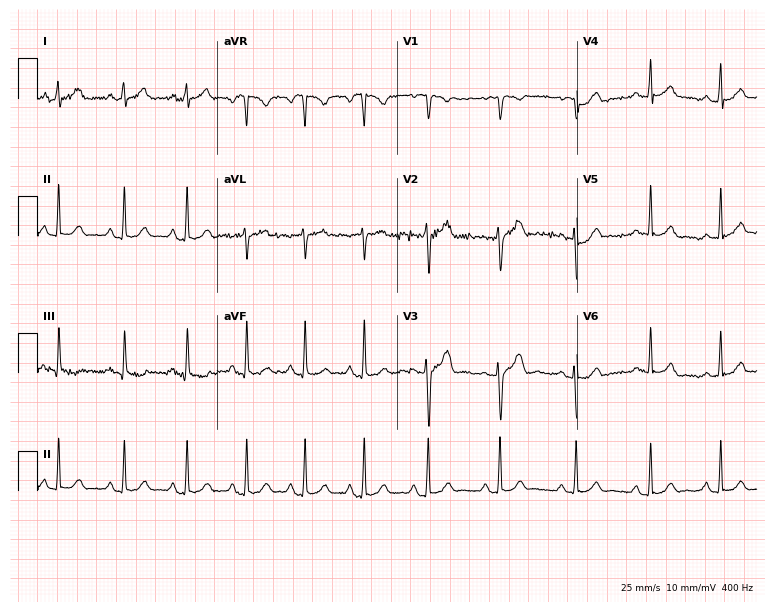
12-lead ECG from a female patient, 18 years old. Screened for six findings — first-degree AV block, right bundle branch block, left bundle branch block, sinus bradycardia, atrial fibrillation, sinus tachycardia — none is recorded. Other findings, if any, are not listed.